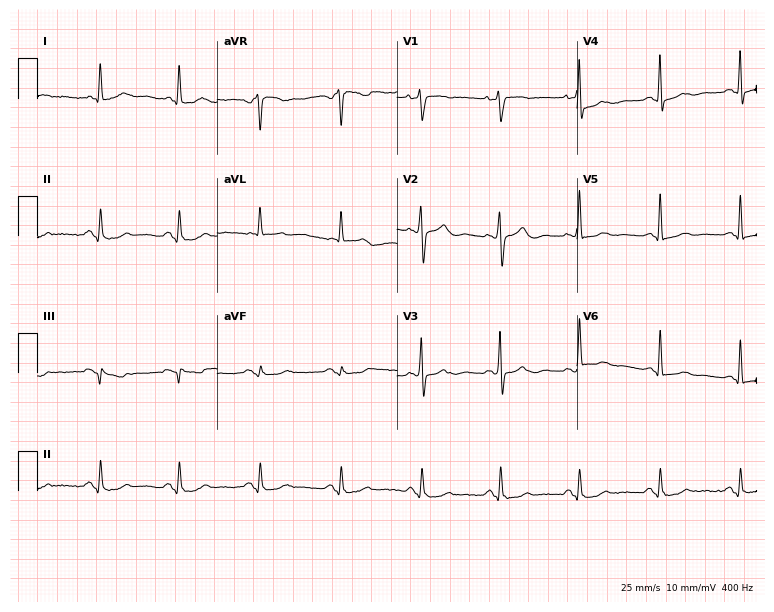
12-lead ECG from a 75-year-old woman. Screened for six findings — first-degree AV block, right bundle branch block, left bundle branch block, sinus bradycardia, atrial fibrillation, sinus tachycardia — none is recorded.